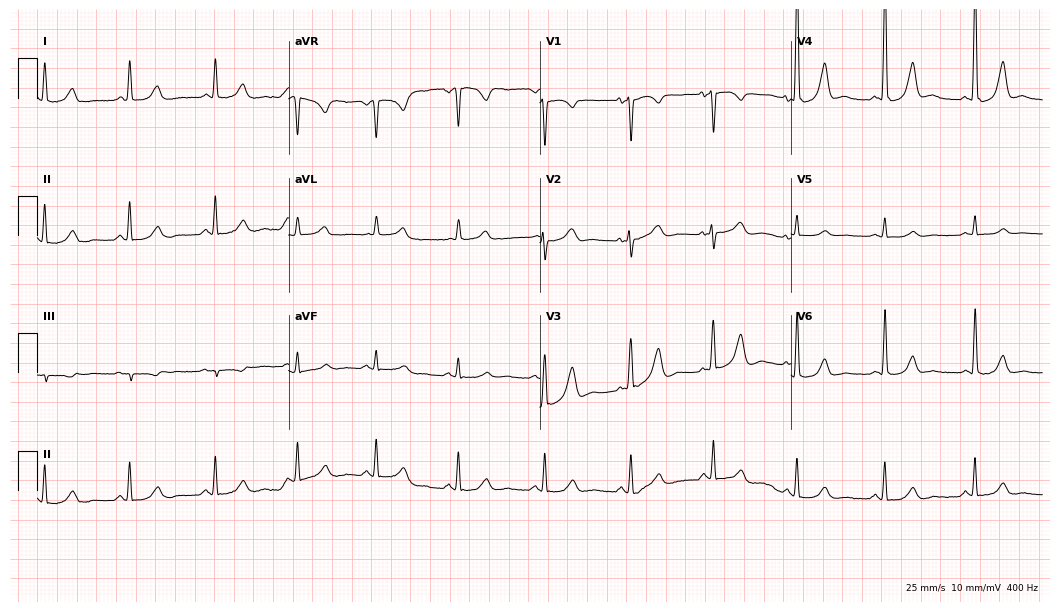
ECG (10.2-second recording at 400 Hz) — a 51-year-old woman. Labelled as a normal ECG.